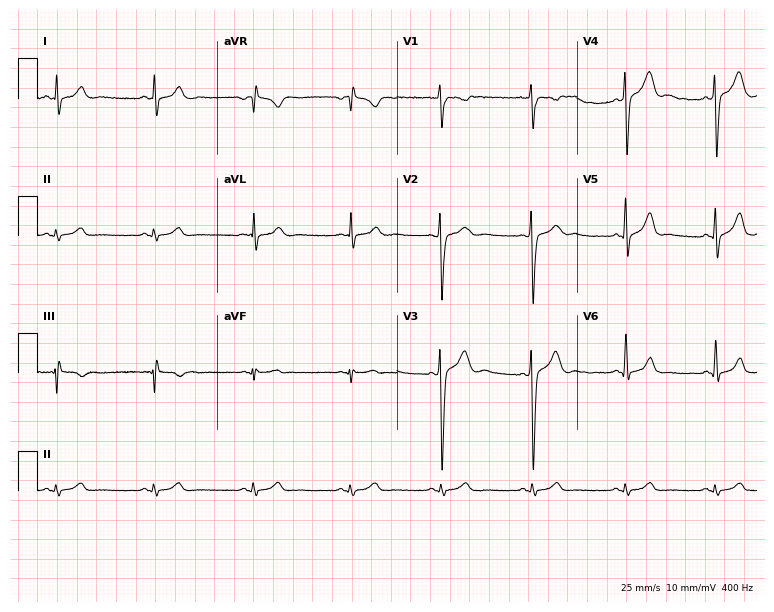
Resting 12-lead electrocardiogram (7.3-second recording at 400 Hz). Patient: a 26-year-old man. Read as a normal ECG.